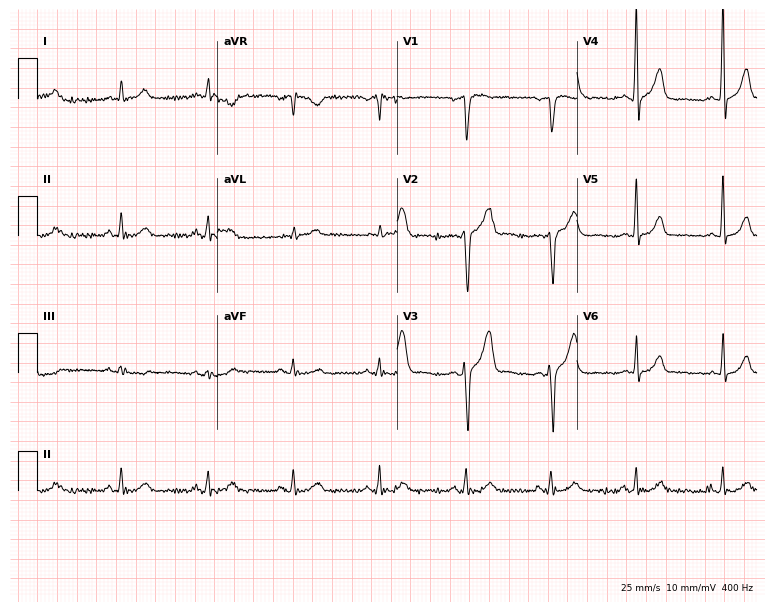
12-lead ECG from a man, 42 years old (7.3-second recording at 400 Hz). No first-degree AV block, right bundle branch block, left bundle branch block, sinus bradycardia, atrial fibrillation or sinus tachycardia recorded for this tracing.